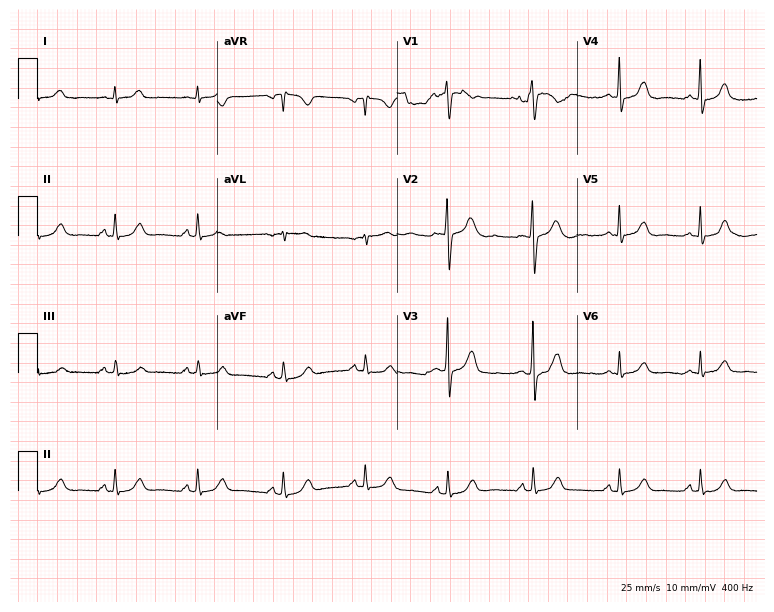
Resting 12-lead electrocardiogram (7.3-second recording at 400 Hz). Patient: a woman, 35 years old. None of these six findings is recorded: first-degree AV block, right bundle branch block (RBBB), left bundle branch block (LBBB), sinus bradycardia, atrial fibrillation (AF), sinus tachycardia. Other findings, if any, are not listed.